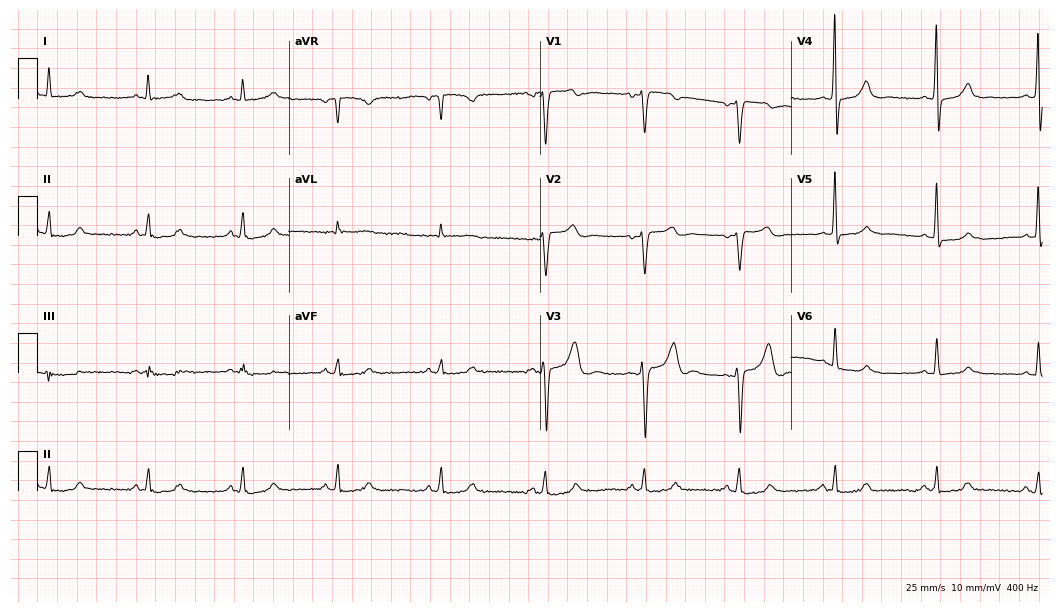
Standard 12-lead ECG recorded from a 39-year-old male patient. Read as a normal ECG.